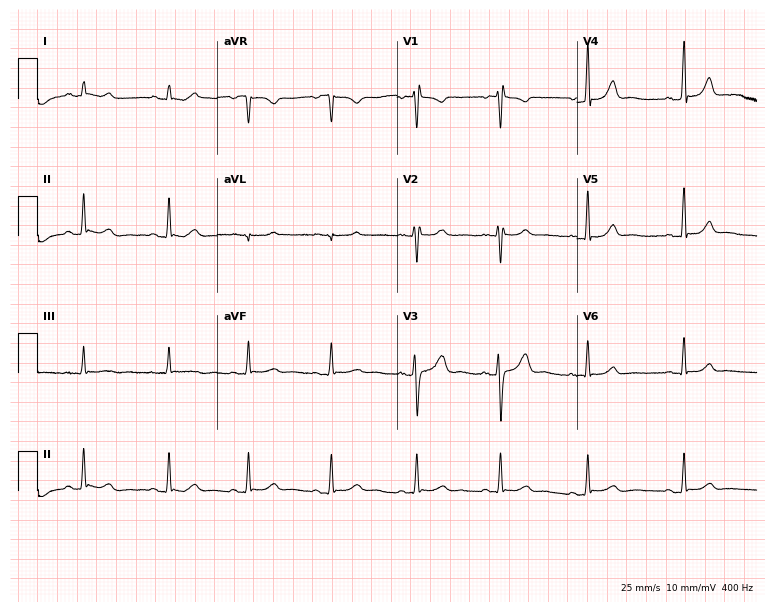
ECG (7.3-second recording at 400 Hz) — a 17-year-old woman. Screened for six findings — first-degree AV block, right bundle branch block, left bundle branch block, sinus bradycardia, atrial fibrillation, sinus tachycardia — none is recorded. Findings outside these six are not listed.